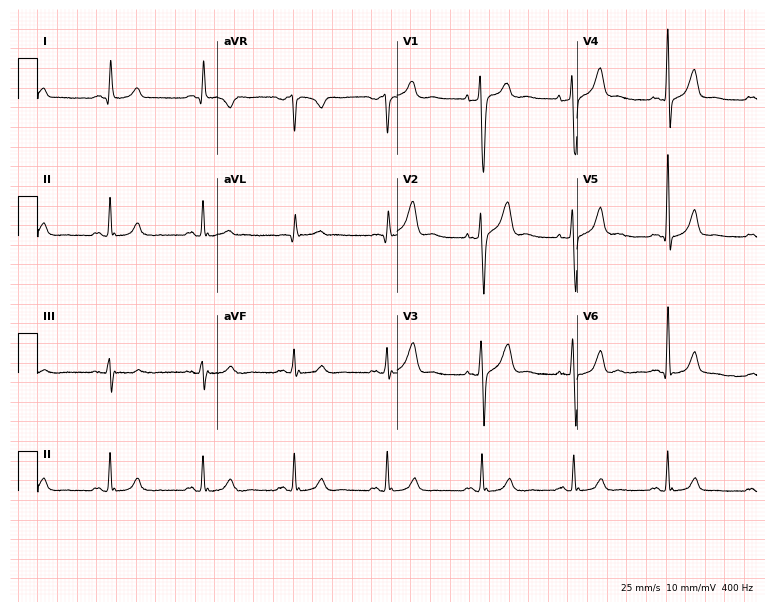
ECG (7.3-second recording at 400 Hz) — a male, 49 years old. Screened for six findings — first-degree AV block, right bundle branch block, left bundle branch block, sinus bradycardia, atrial fibrillation, sinus tachycardia — none is recorded. Findings outside these six are not listed.